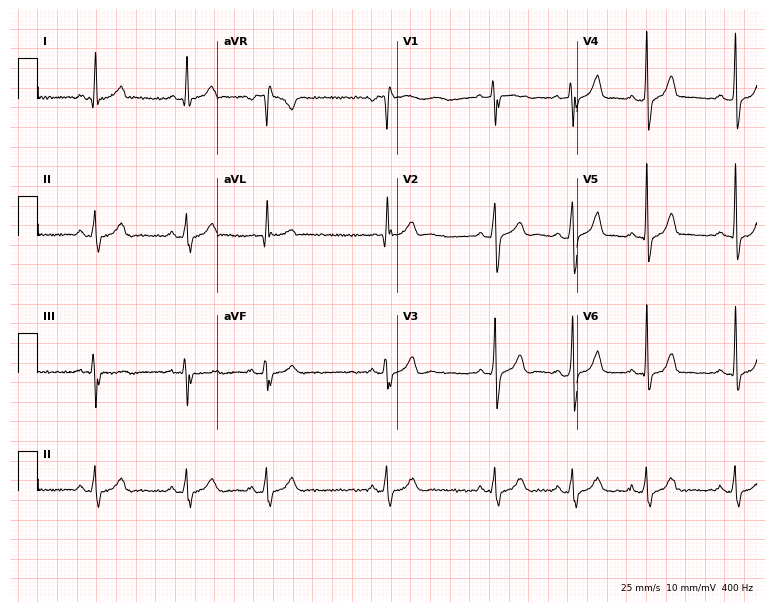
12-lead ECG (7.3-second recording at 400 Hz) from a male patient, 19 years old. Labelled as a normal ECG.